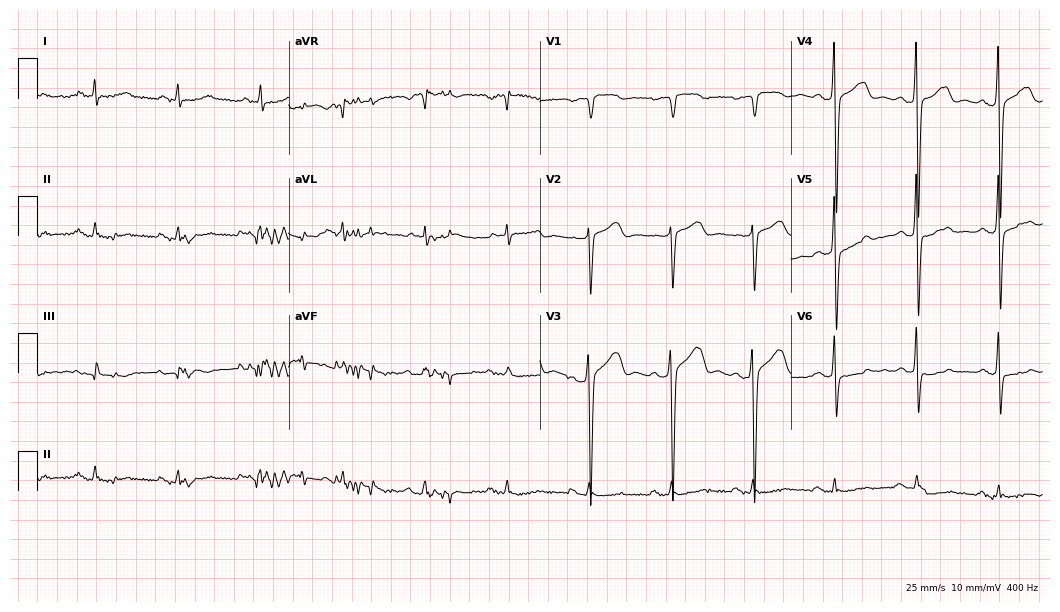
Resting 12-lead electrocardiogram. Patient: a 76-year-old male. None of these six findings is recorded: first-degree AV block, right bundle branch block (RBBB), left bundle branch block (LBBB), sinus bradycardia, atrial fibrillation (AF), sinus tachycardia. Findings outside these six are not listed.